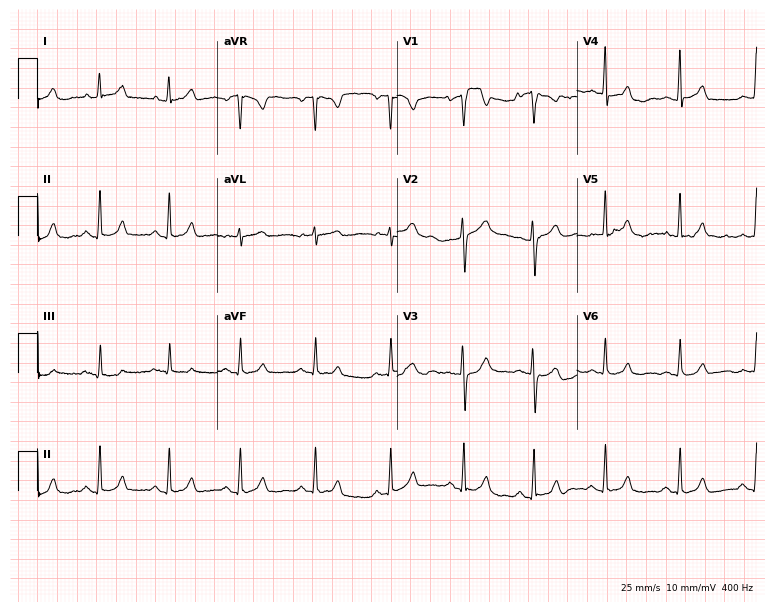
12-lead ECG (7.3-second recording at 400 Hz) from a female, 39 years old. Screened for six findings — first-degree AV block, right bundle branch block, left bundle branch block, sinus bradycardia, atrial fibrillation, sinus tachycardia — none is recorded. Other findings, if any, are not listed.